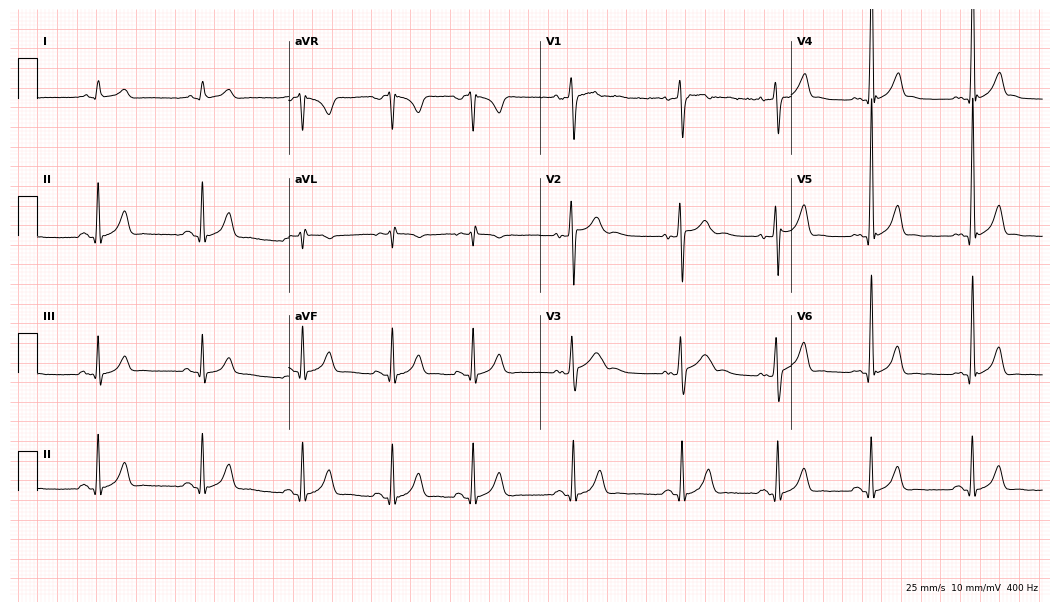
Standard 12-lead ECG recorded from a man, 26 years old. Read as a normal ECG.